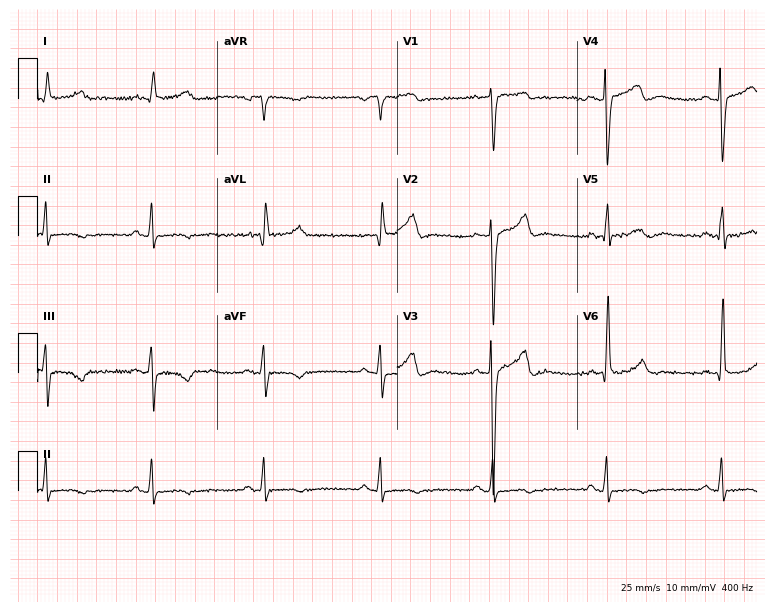
12-lead ECG from a 56-year-old man. Screened for six findings — first-degree AV block, right bundle branch block, left bundle branch block, sinus bradycardia, atrial fibrillation, sinus tachycardia — none is recorded.